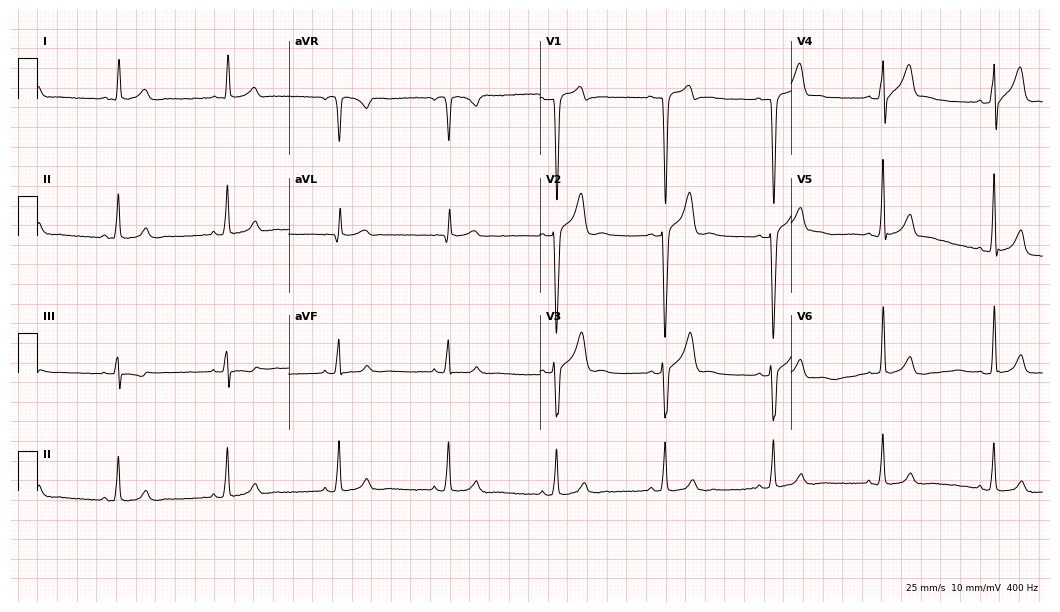
Standard 12-lead ECG recorded from a male, 28 years old. Read as a normal ECG.